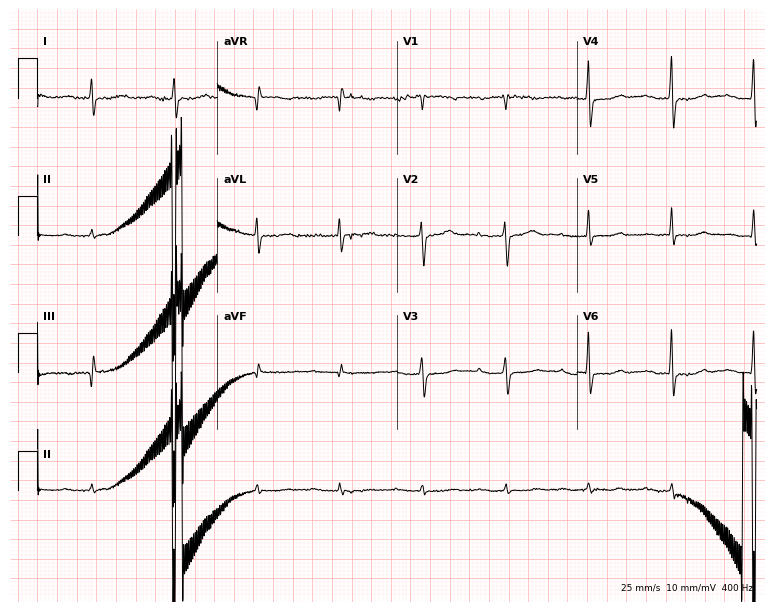
ECG — a woman, 76 years old. Findings include first-degree AV block.